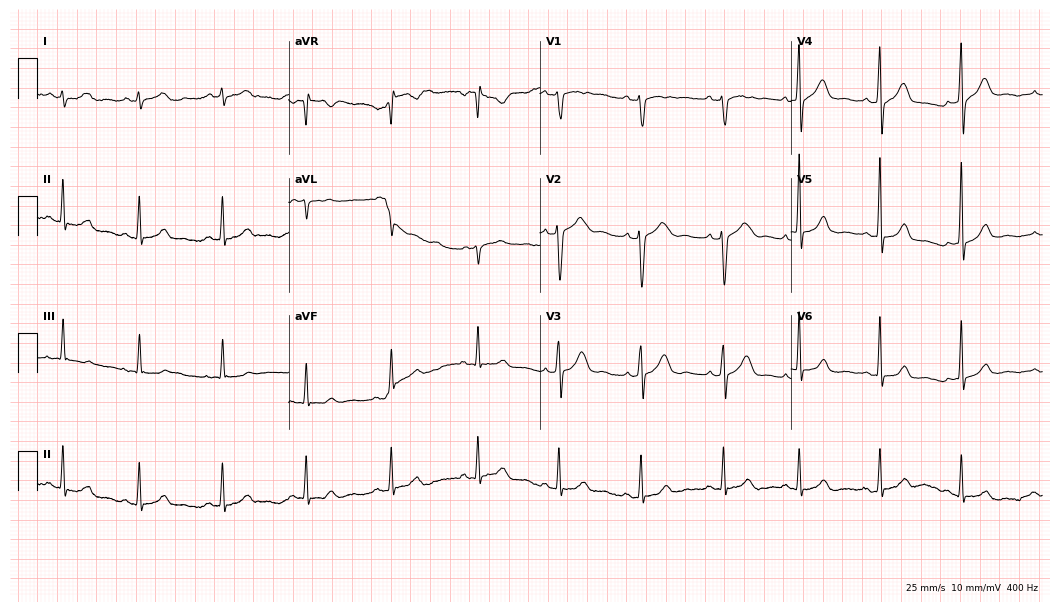
Standard 12-lead ECG recorded from a female patient, 33 years old (10.2-second recording at 400 Hz). None of these six findings is recorded: first-degree AV block, right bundle branch block (RBBB), left bundle branch block (LBBB), sinus bradycardia, atrial fibrillation (AF), sinus tachycardia.